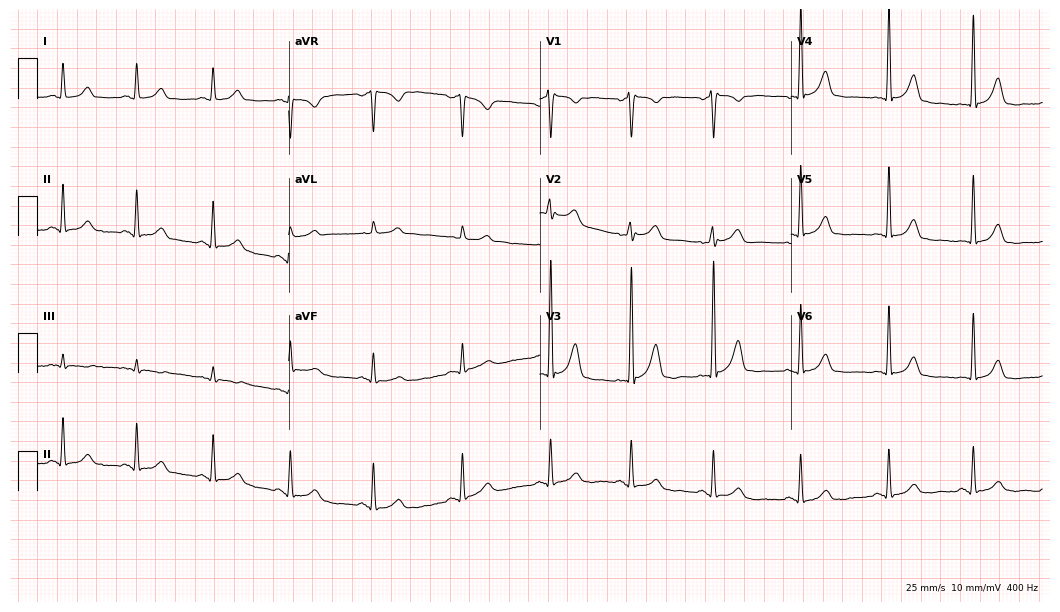
Resting 12-lead electrocardiogram. Patient: a female, 39 years old. Read as a normal ECG.